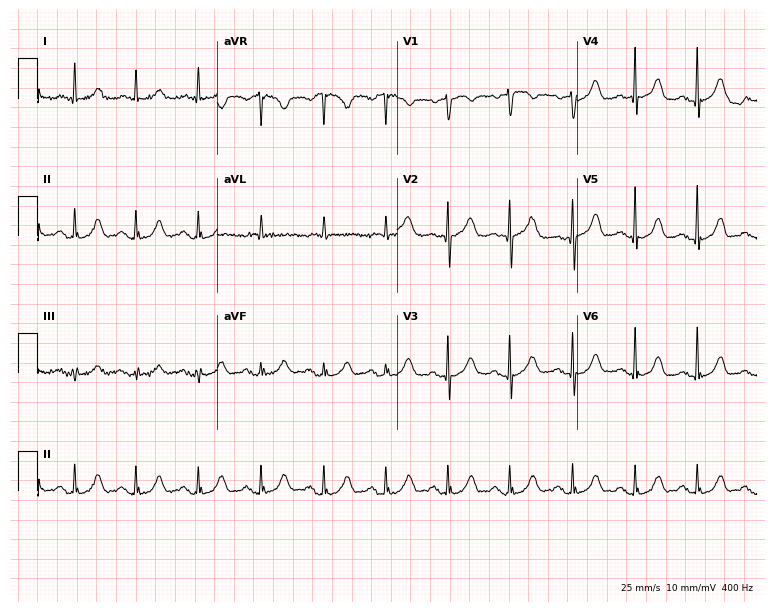
ECG (7.3-second recording at 400 Hz) — a female, 67 years old. Labelled as a normal ECG.